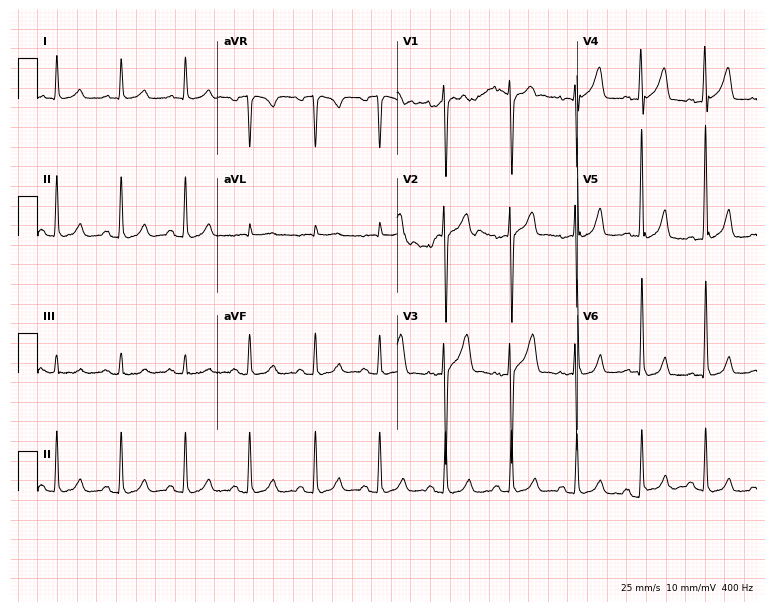
Electrocardiogram, a 51-year-old male patient. Overall reading on record: normal ECG.